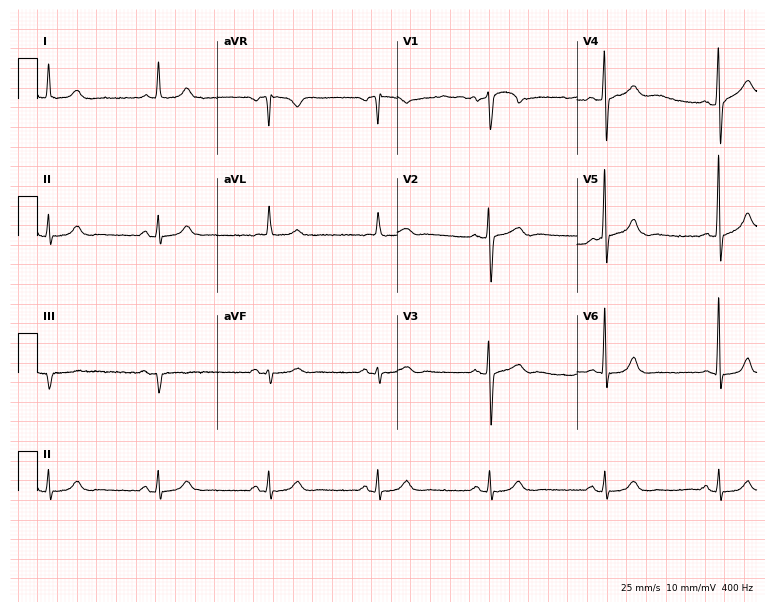
12-lead ECG from a 70-year-old man (7.3-second recording at 400 Hz). Recorded interpretation: within normal limits.